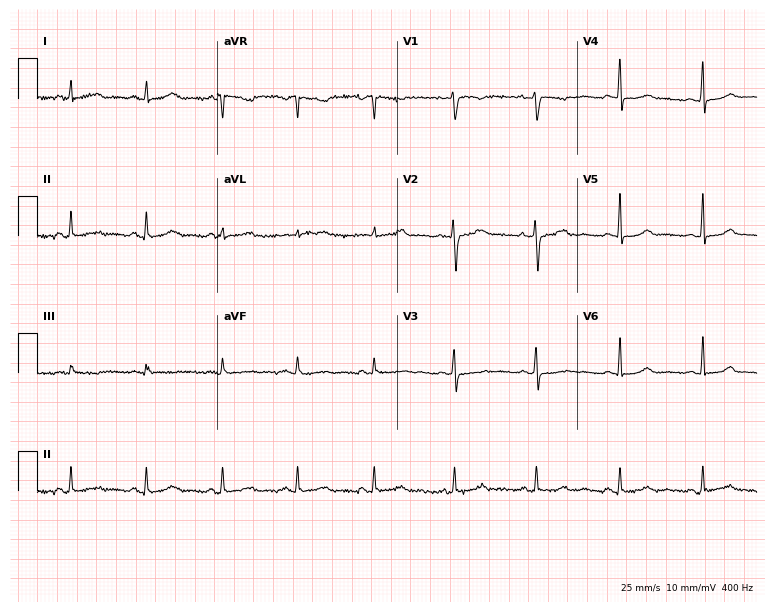
Standard 12-lead ECG recorded from a 42-year-old woman. None of these six findings is recorded: first-degree AV block, right bundle branch block, left bundle branch block, sinus bradycardia, atrial fibrillation, sinus tachycardia. Only these six findings were labelled.